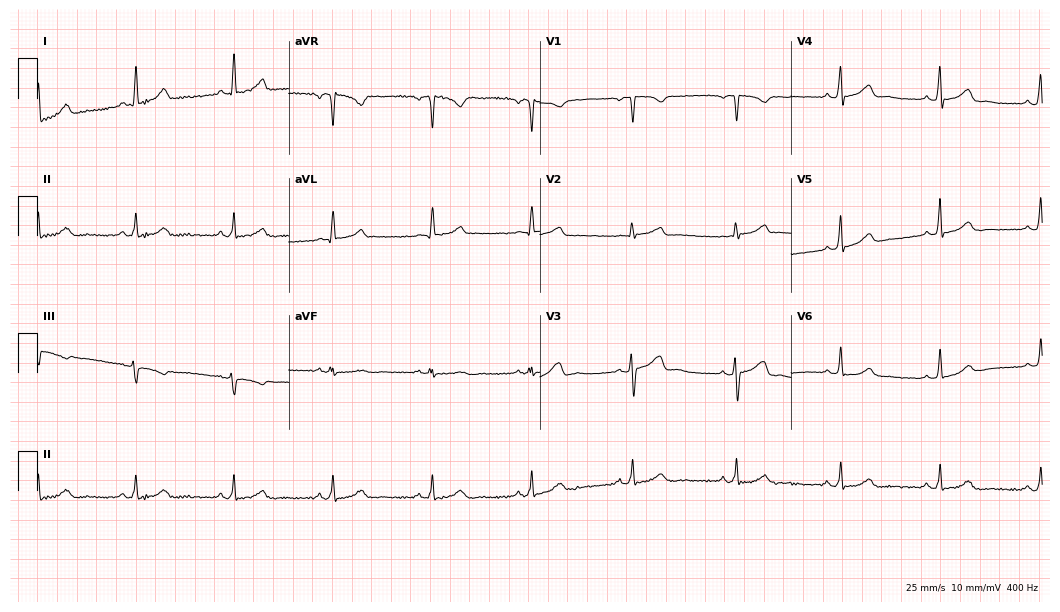
12-lead ECG from a 50-year-old woman. Labelled as a normal ECG.